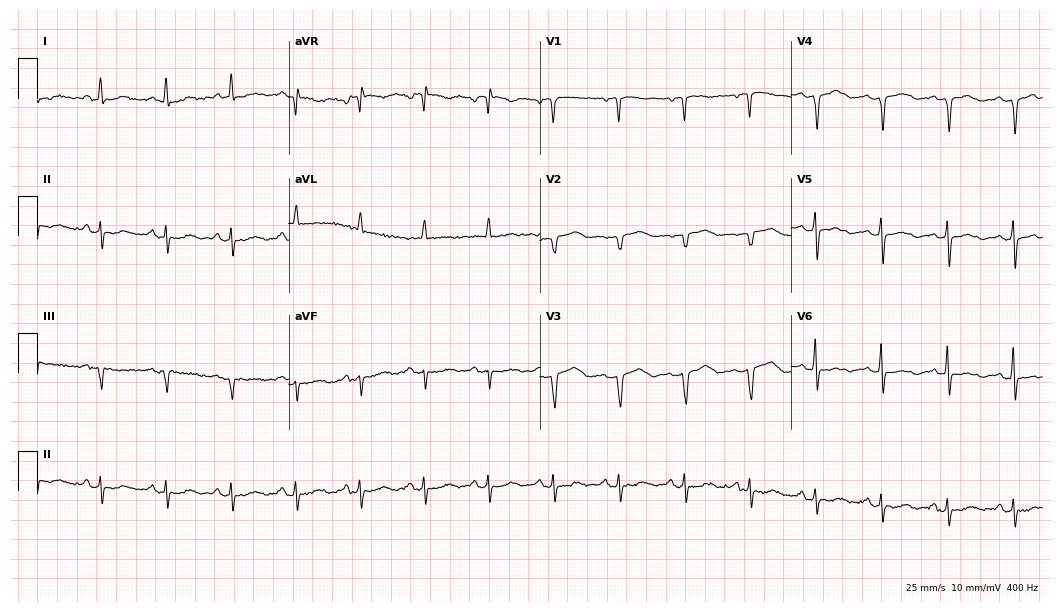
Electrocardiogram, an 83-year-old woman. Of the six screened findings (first-degree AV block, right bundle branch block (RBBB), left bundle branch block (LBBB), sinus bradycardia, atrial fibrillation (AF), sinus tachycardia), none is recorded.